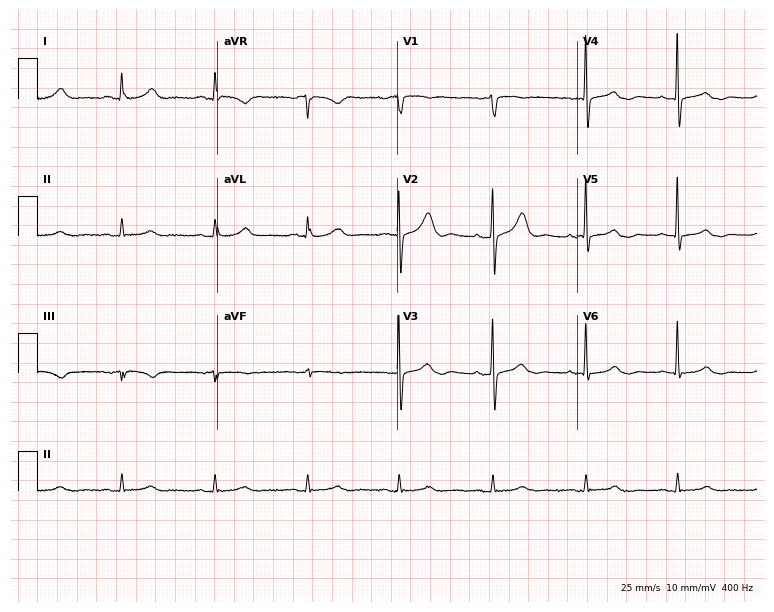
Standard 12-lead ECG recorded from a female, 78 years old. None of these six findings is recorded: first-degree AV block, right bundle branch block, left bundle branch block, sinus bradycardia, atrial fibrillation, sinus tachycardia. Only these six findings were labelled.